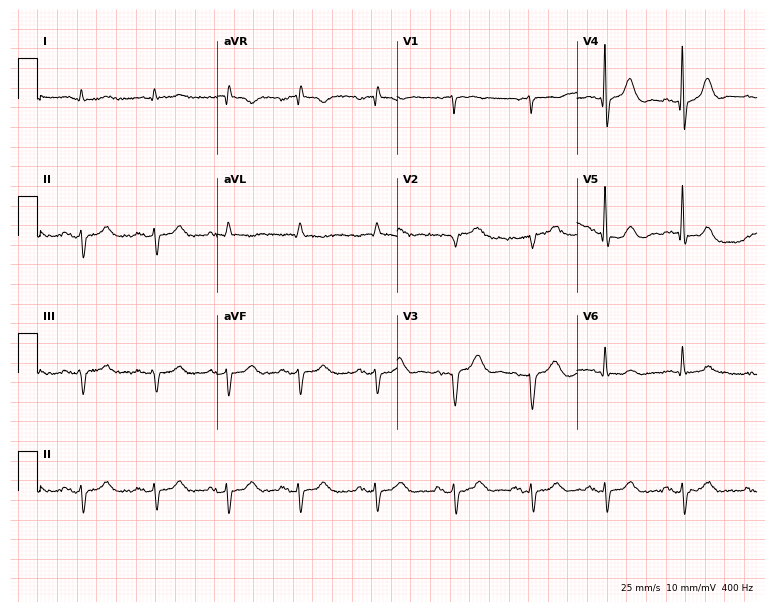
Standard 12-lead ECG recorded from a male, 82 years old (7.3-second recording at 400 Hz). None of these six findings is recorded: first-degree AV block, right bundle branch block, left bundle branch block, sinus bradycardia, atrial fibrillation, sinus tachycardia.